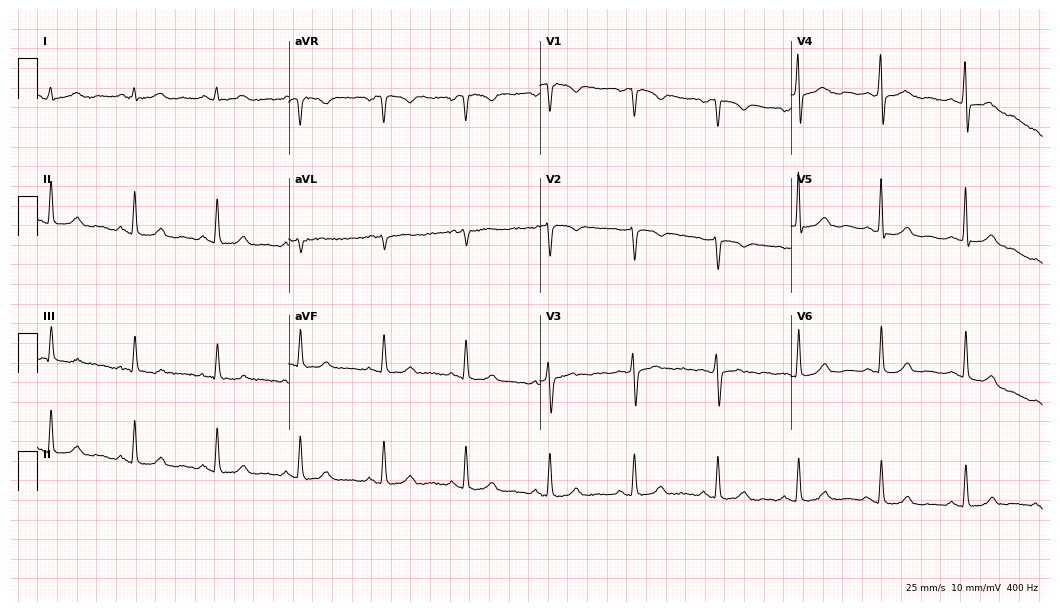
12-lead ECG from a female patient, 46 years old. Recorded interpretation: within normal limits.